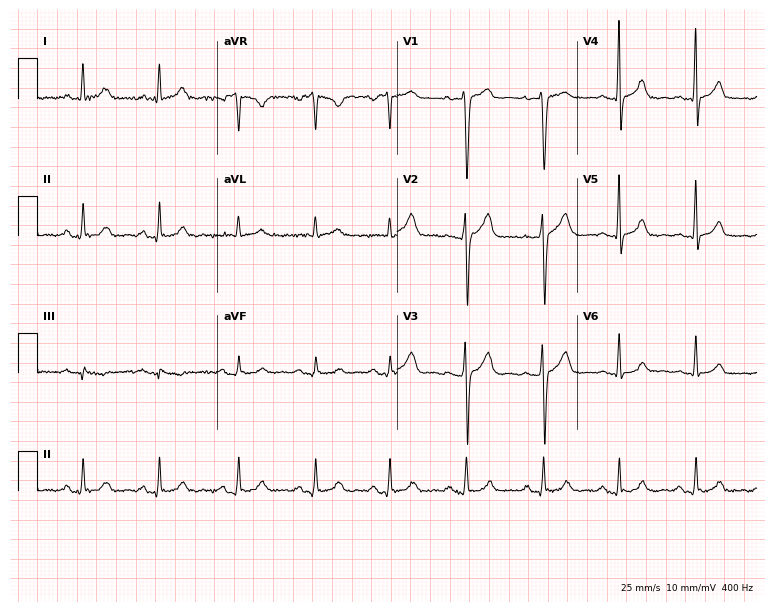
Resting 12-lead electrocardiogram (7.3-second recording at 400 Hz). Patient: a 44-year-old man. None of these six findings is recorded: first-degree AV block, right bundle branch block, left bundle branch block, sinus bradycardia, atrial fibrillation, sinus tachycardia. Other findings, if any, are not listed.